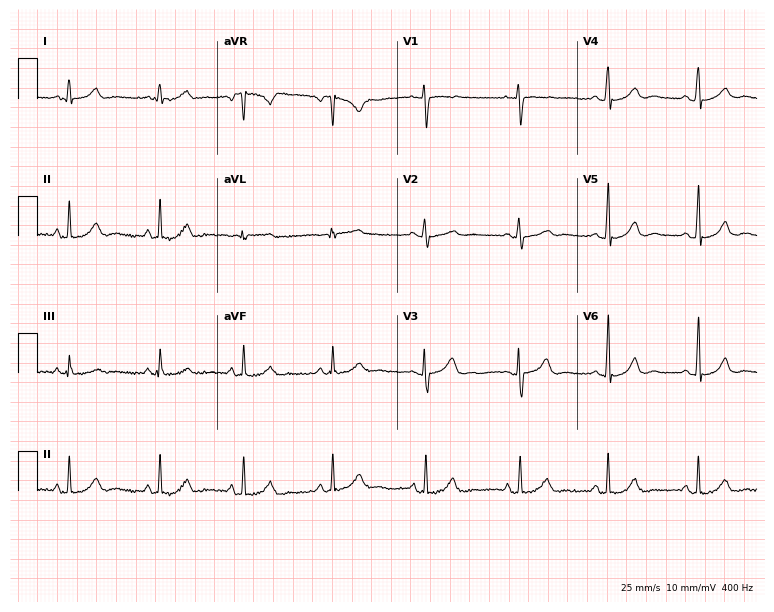
12-lead ECG from a female patient, 31 years old. Labelled as a normal ECG.